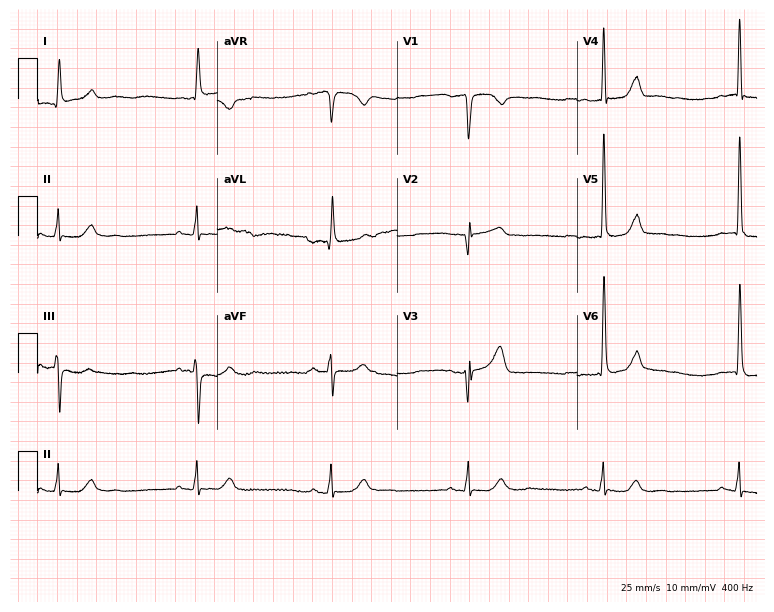
Electrocardiogram, a male, 85 years old. Interpretation includes sinus bradycardia (a sinus rate of 50 beats per minute or less).